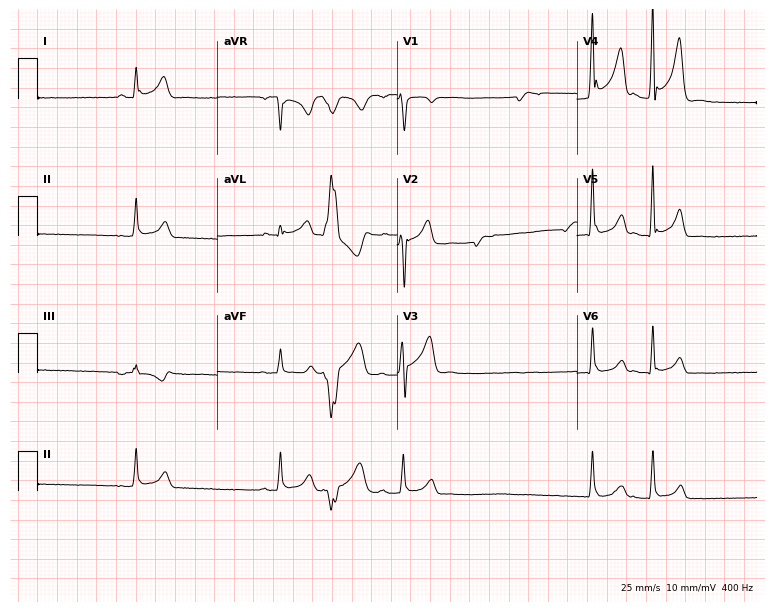
Electrocardiogram (7.3-second recording at 400 Hz), a female patient, 40 years old. Of the six screened findings (first-degree AV block, right bundle branch block, left bundle branch block, sinus bradycardia, atrial fibrillation, sinus tachycardia), none is recorded.